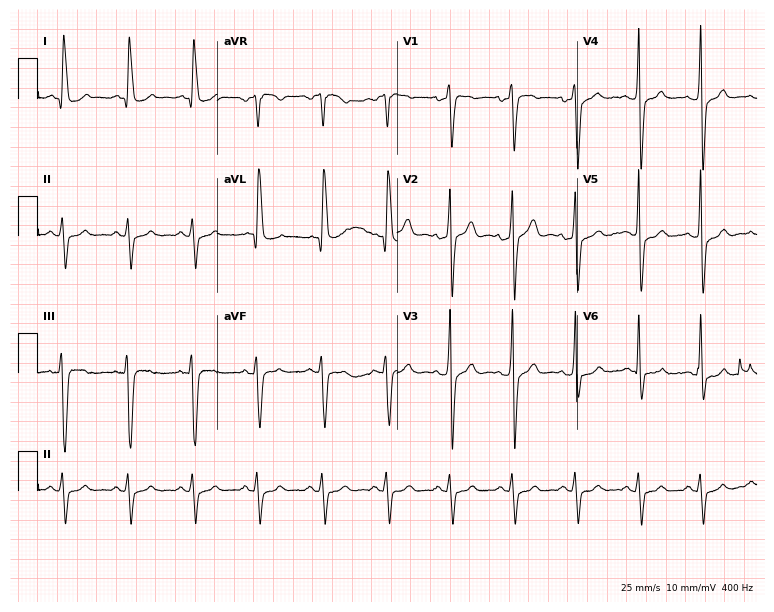
12-lead ECG (7.3-second recording at 400 Hz) from a 55-year-old male patient. Screened for six findings — first-degree AV block, right bundle branch block, left bundle branch block, sinus bradycardia, atrial fibrillation, sinus tachycardia — none is recorded. Only these six findings were labelled.